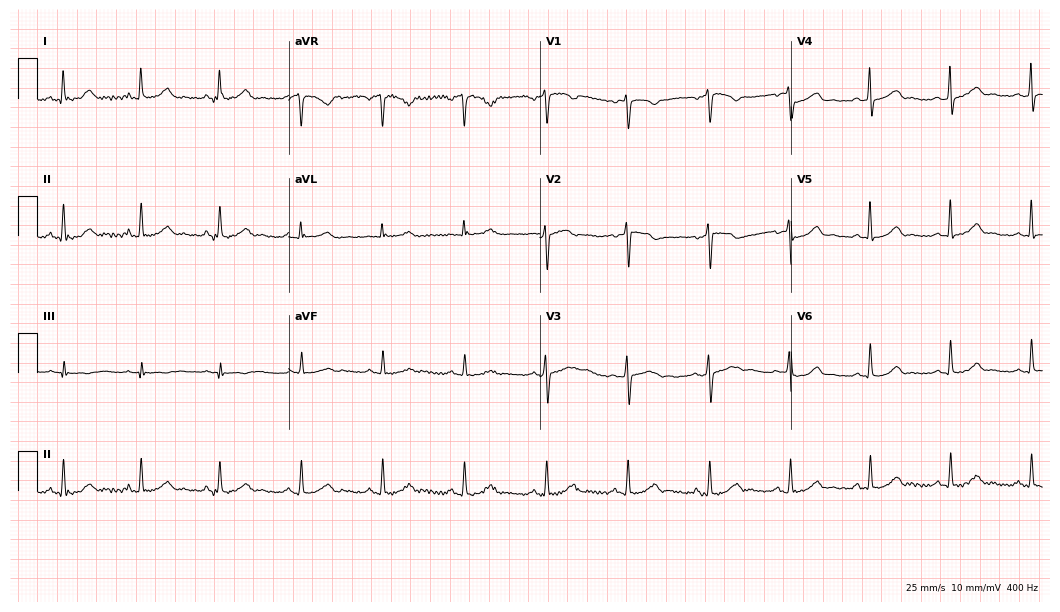
Electrocardiogram, a woman, 46 years old. Overall reading on record: normal ECG.